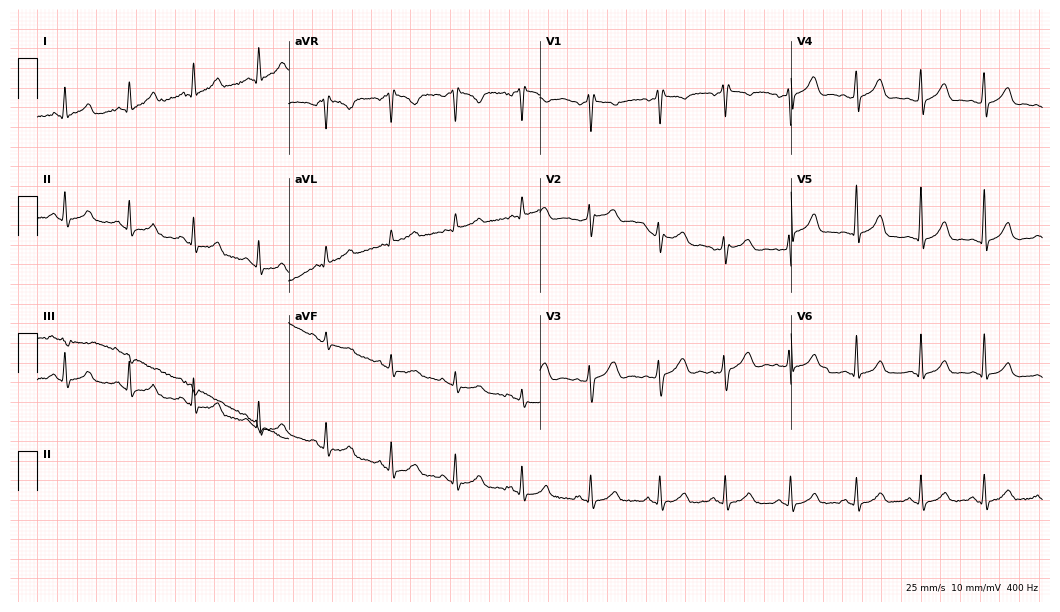
12-lead ECG from a 43-year-old female patient. Screened for six findings — first-degree AV block, right bundle branch block, left bundle branch block, sinus bradycardia, atrial fibrillation, sinus tachycardia — none is recorded.